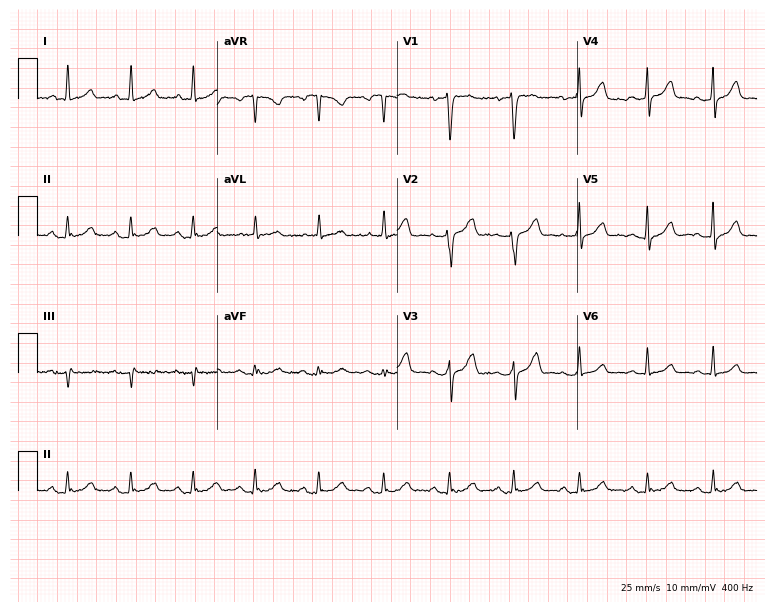
Resting 12-lead electrocardiogram. Patient: a woman, 58 years old. None of these six findings is recorded: first-degree AV block, right bundle branch block (RBBB), left bundle branch block (LBBB), sinus bradycardia, atrial fibrillation (AF), sinus tachycardia. Findings outside these six are not listed.